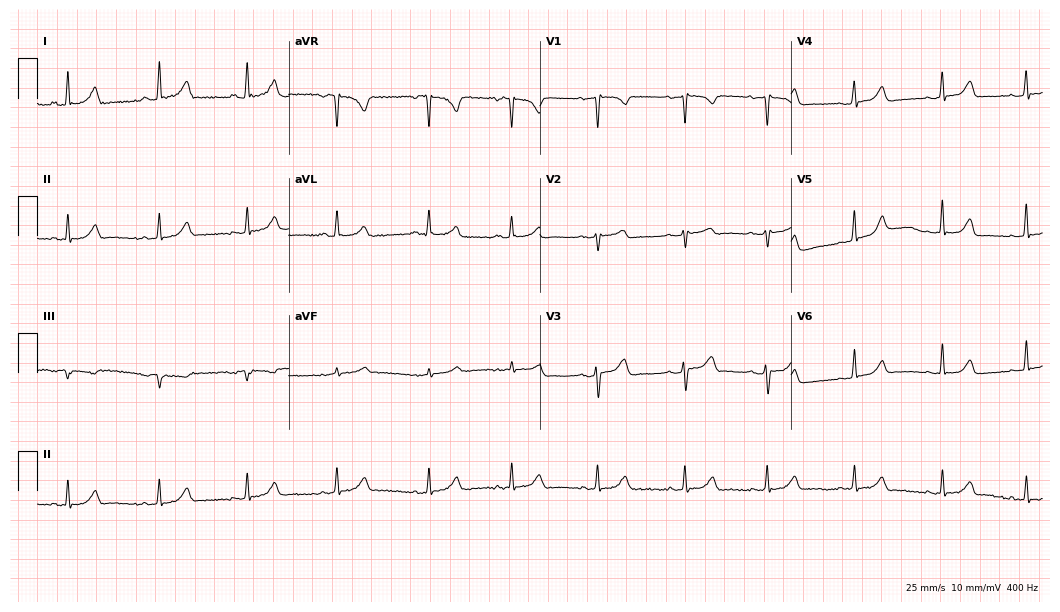
12-lead ECG from a female, 40 years old. Labelled as a normal ECG.